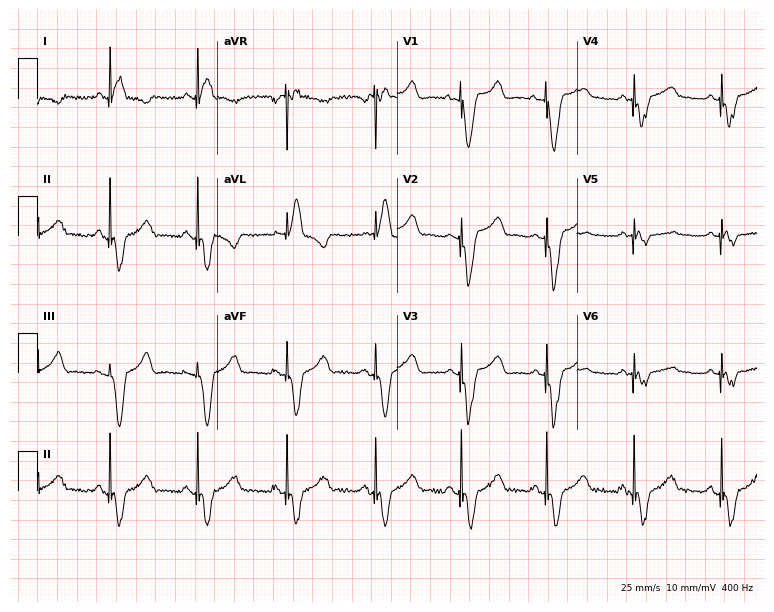
Electrocardiogram, a female patient, 44 years old. Of the six screened findings (first-degree AV block, right bundle branch block (RBBB), left bundle branch block (LBBB), sinus bradycardia, atrial fibrillation (AF), sinus tachycardia), none is recorded. Only these six findings were labelled.